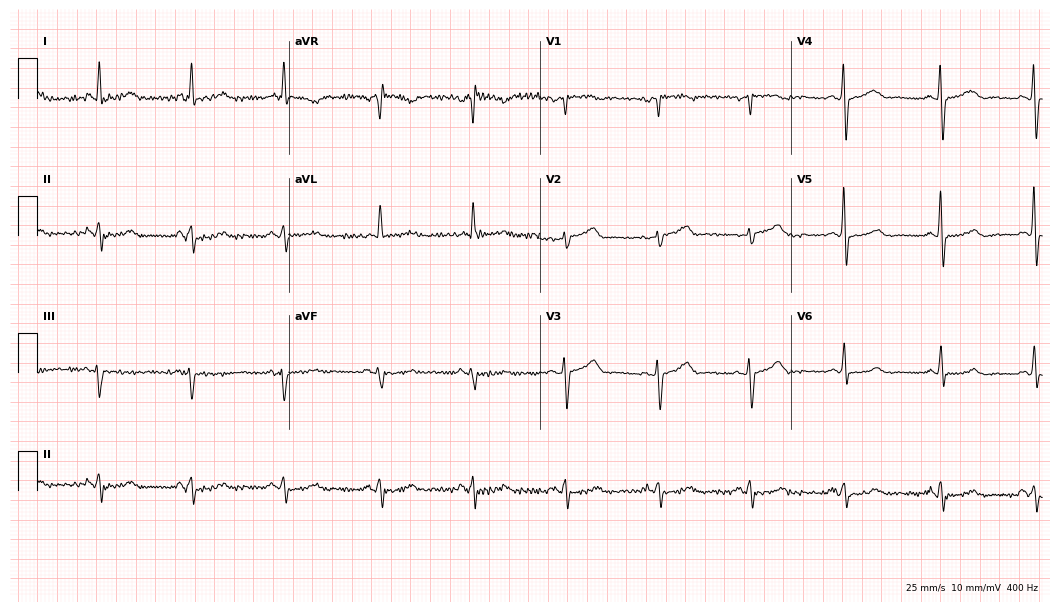
12-lead ECG (10.2-second recording at 400 Hz) from a 63-year-old woman. Screened for six findings — first-degree AV block, right bundle branch block, left bundle branch block, sinus bradycardia, atrial fibrillation, sinus tachycardia — none is recorded.